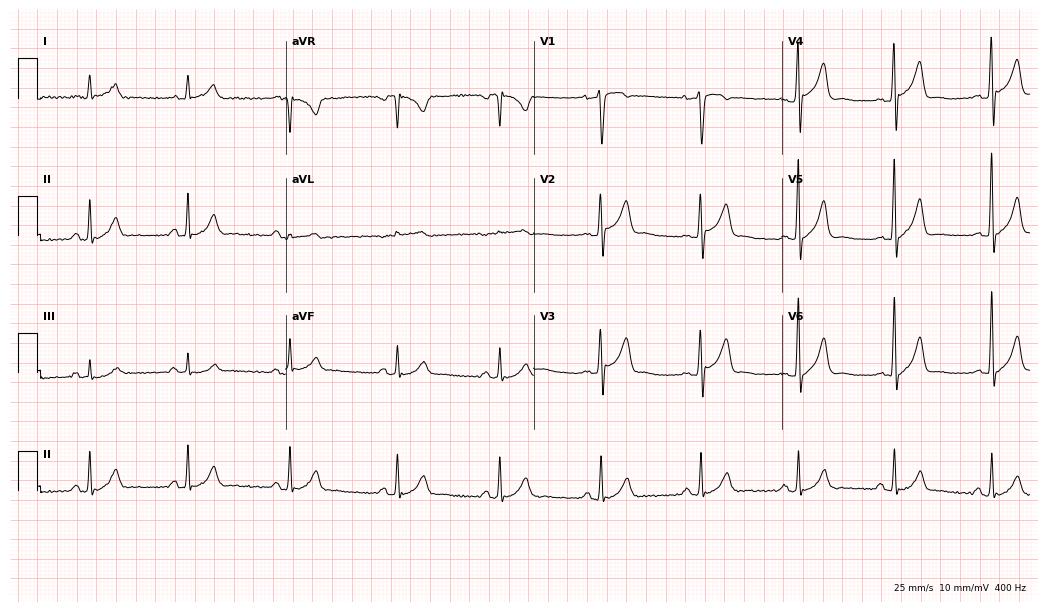
ECG — a male patient, 40 years old. Screened for six findings — first-degree AV block, right bundle branch block, left bundle branch block, sinus bradycardia, atrial fibrillation, sinus tachycardia — none is recorded. Other findings, if any, are not listed.